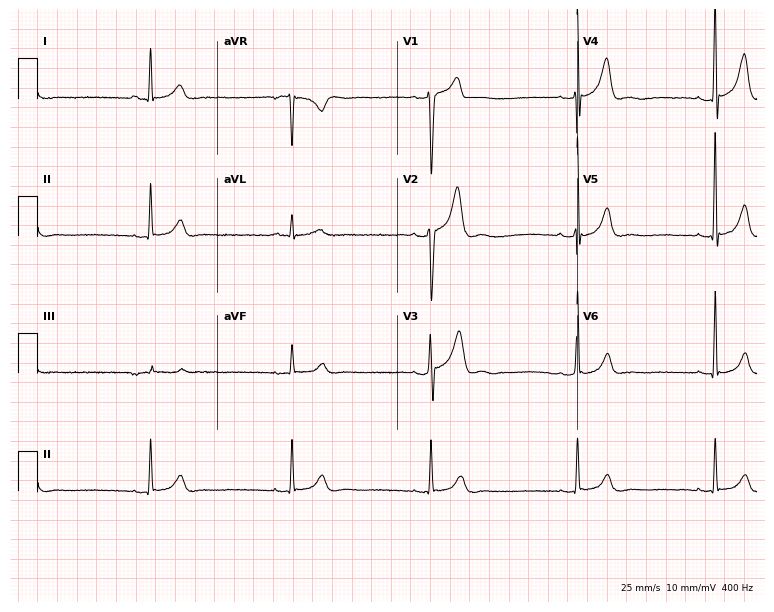
Resting 12-lead electrocardiogram. Patient: a male, 42 years old. The tracing shows sinus bradycardia (a sinus rate of 50 beats per minute or less).